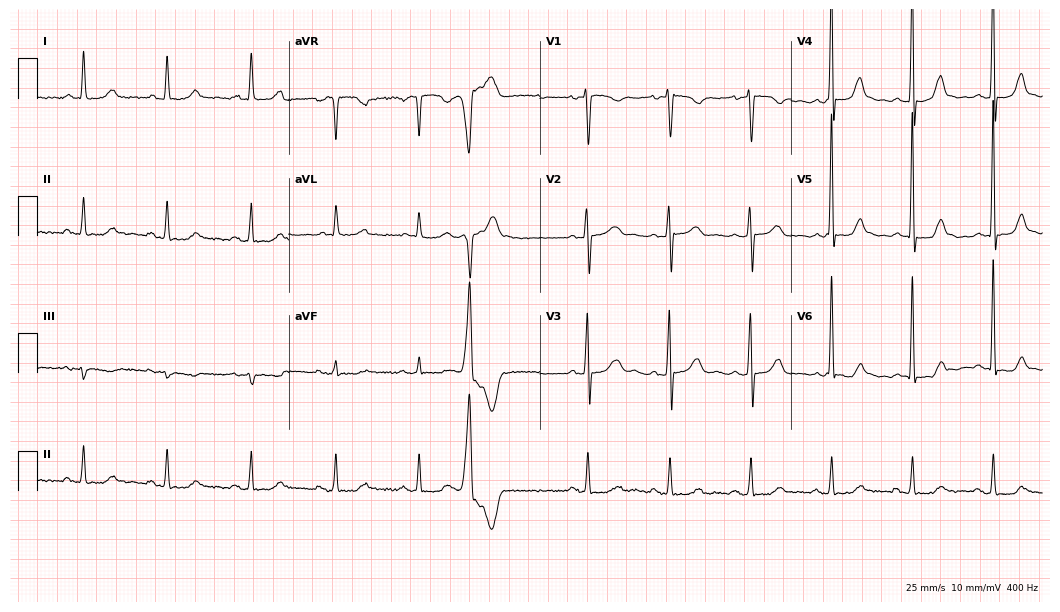
12-lead ECG from a woman, 81 years old. Recorded interpretation: within normal limits.